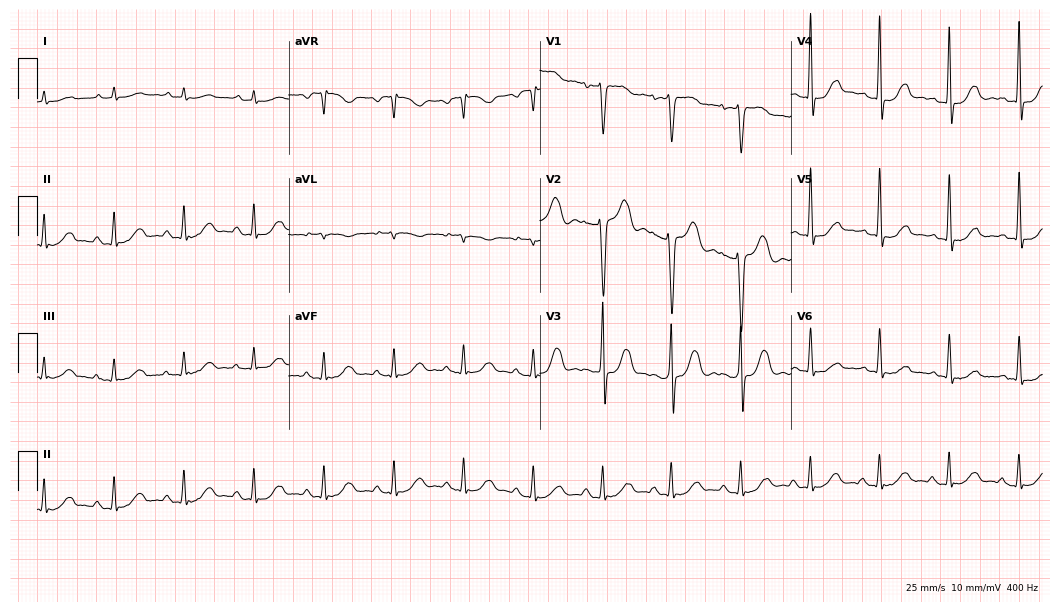
Standard 12-lead ECG recorded from a man, 49 years old (10.2-second recording at 400 Hz). Read as a normal ECG.